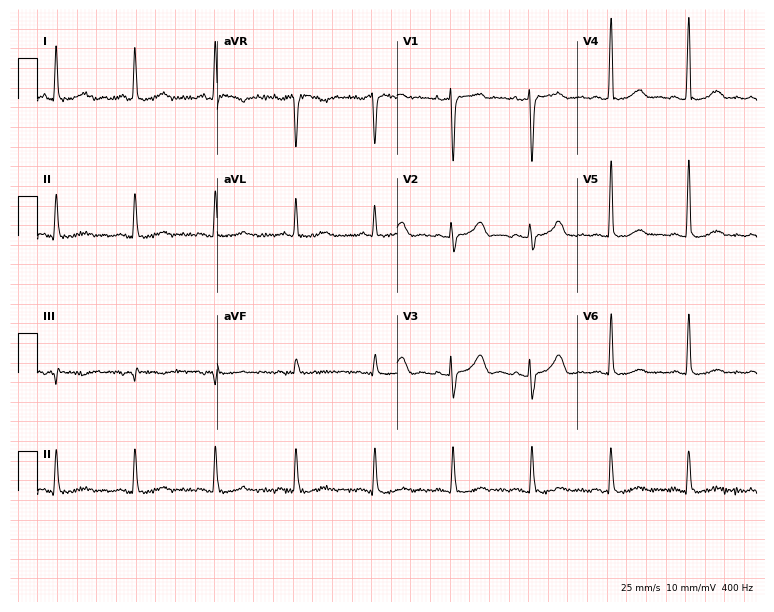
ECG (7.3-second recording at 400 Hz) — a female, 59 years old. Screened for six findings — first-degree AV block, right bundle branch block, left bundle branch block, sinus bradycardia, atrial fibrillation, sinus tachycardia — none is recorded.